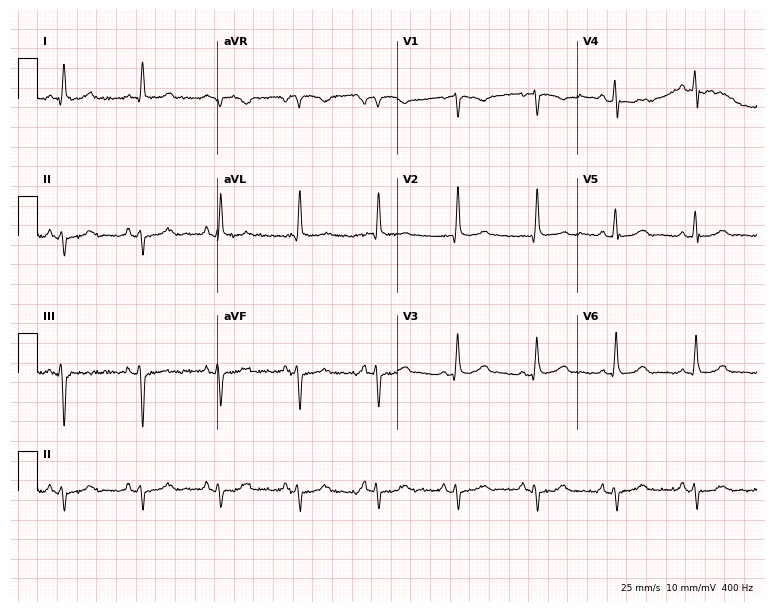
ECG (7.3-second recording at 400 Hz) — a male, 84 years old. Screened for six findings — first-degree AV block, right bundle branch block, left bundle branch block, sinus bradycardia, atrial fibrillation, sinus tachycardia — none is recorded.